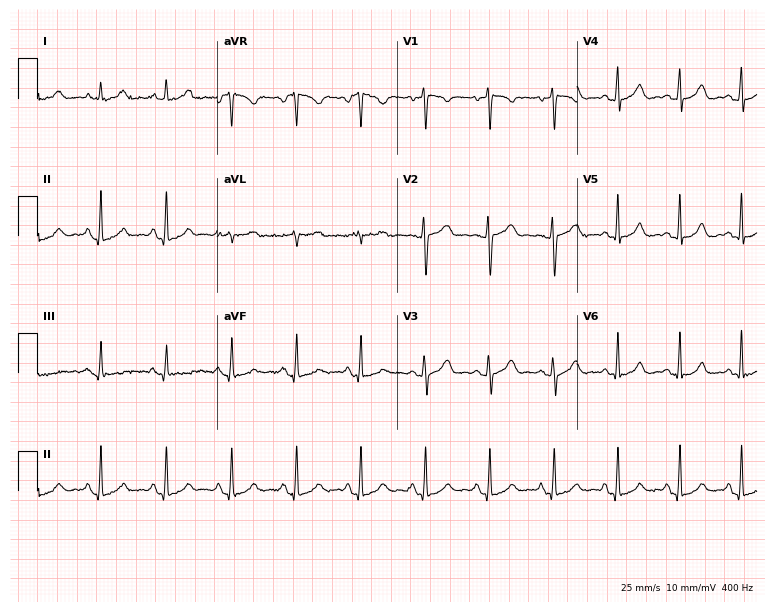
12-lead ECG from a 47-year-old female. Screened for six findings — first-degree AV block, right bundle branch block, left bundle branch block, sinus bradycardia, atrial fibrillation, sinus tachycardia — none is recorded. Other findings, if any, are not listed.